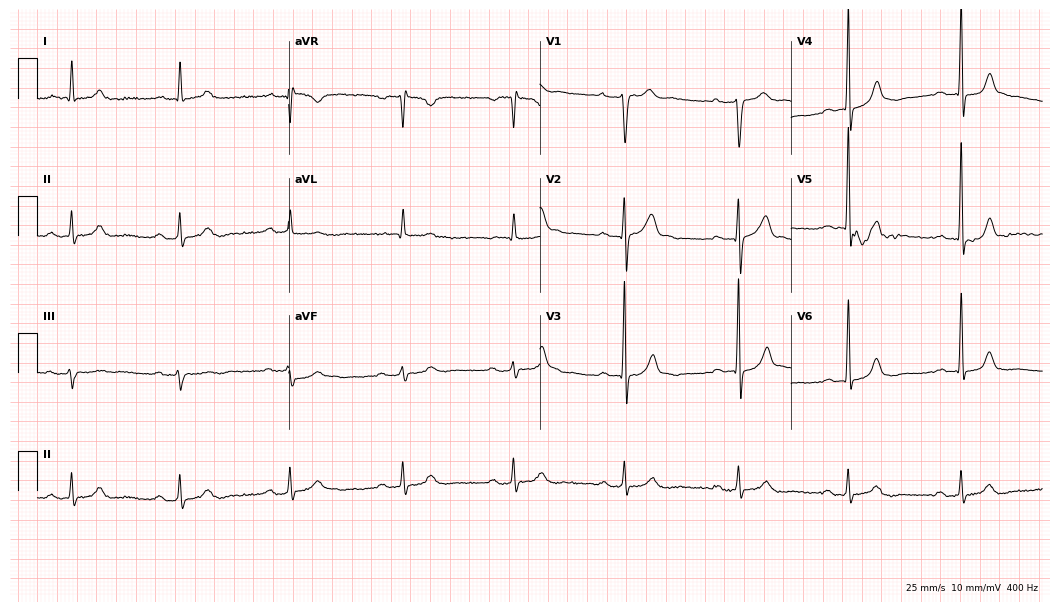
ECG (10.2-second recording at 400 Hz) — a male, 68 years old. Screened for six findings — first-degree AV block, right bundle branch block, left bundle branch block, sinus bradycardia, atrial fibrillation, sinus tachycardia — none is recorded. Only these six findings were labelled.